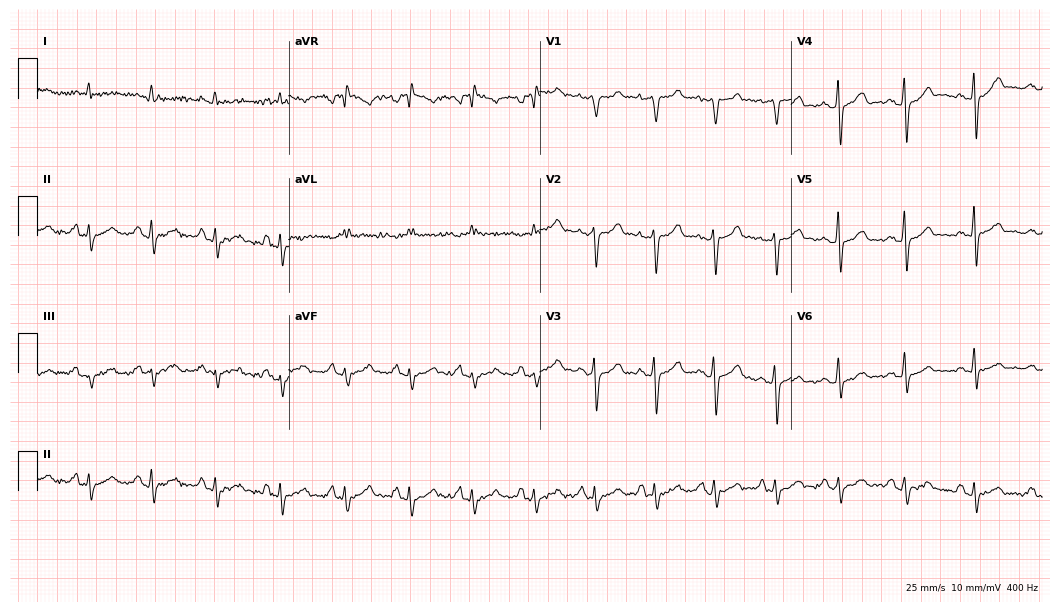
Resting 12-lead electrocardiogram (10.2-second recording at 400 Hz). Patient: a man, 38 years old. None of these six findings is recorded: first-degree AV block, right bundle branch block, left bundle branch block, sinus bradycardia, atrial fibrillation, sinus tachycardia.